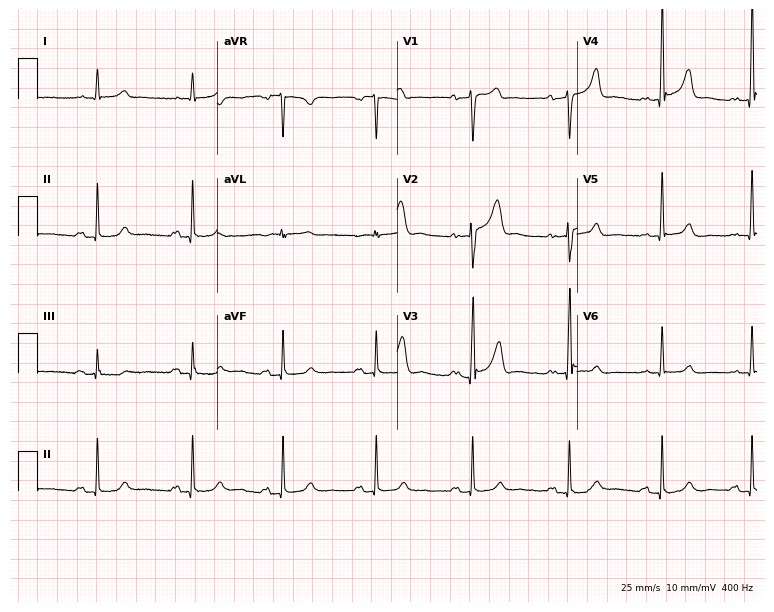
Electrocardiogram (7.3-second recording at 400 Hz), a 64-year-old male patient. Overall reading on record: normal ECG.